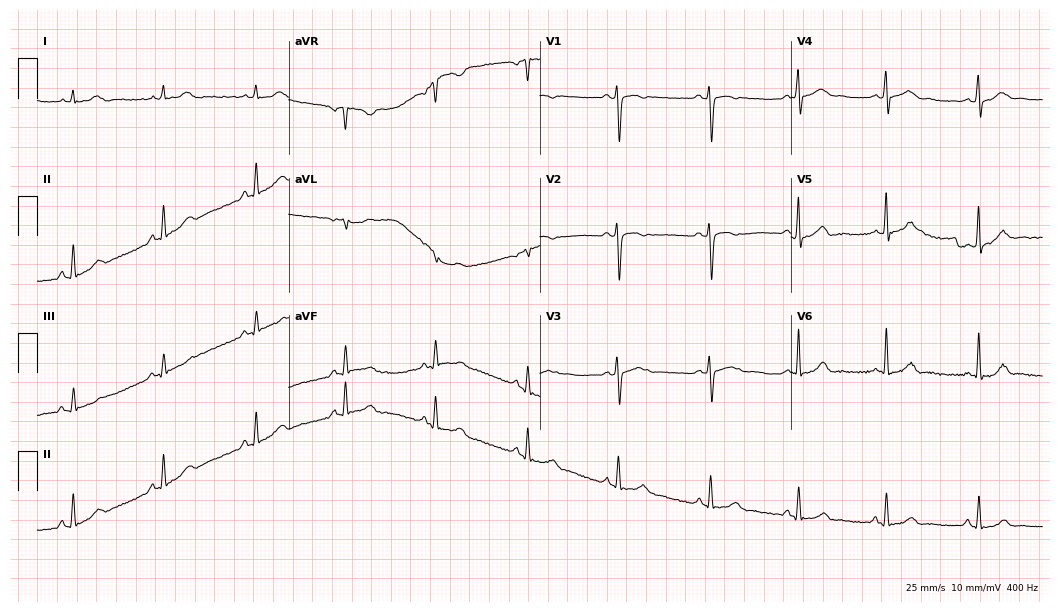
Standard 12-lead ECG recorded from a female, 26 years old. None of these six findings is recorded: first-degree AV block, right bundle branch block (RBBB), left bundle branch block (LBBB), sinus bradycardia, atrial fibrillation (AF), sinus tachycardia. Only these six findings were labelled.